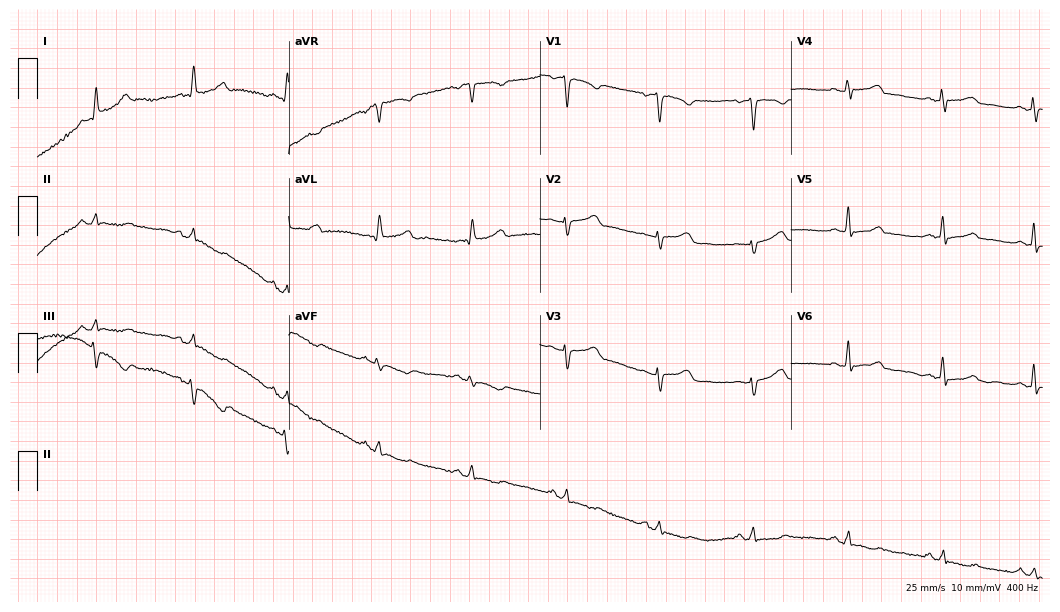
Standard 12-lead ECG recorded from a female, 50 years old. None of these six findings is recorded: first-degree AV block, right bundle branch block, left bundle branch block, sinus bradycardia, atrial fibrillation, sinus tachycardia. Other findings, if any, are not listed.